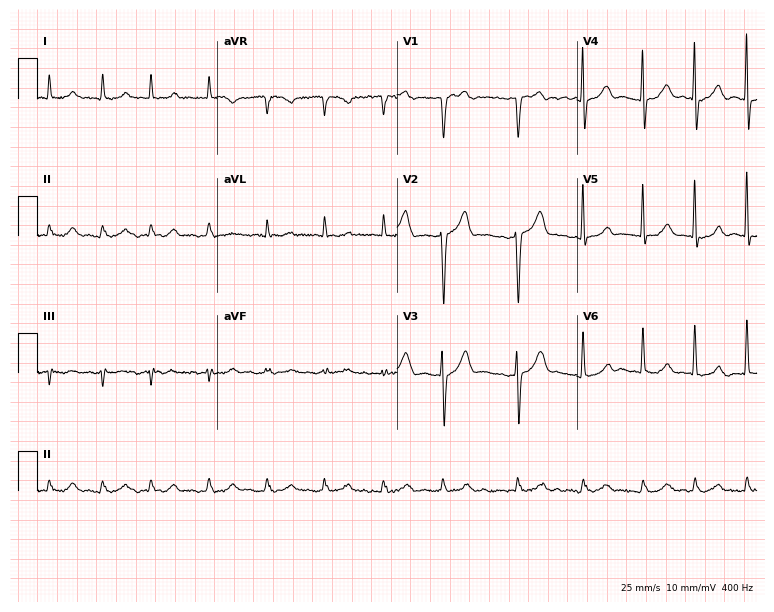
Standard 12-lead ECG recorded from a 78-year-old male (7.3-second recording at 400 Hz). The tracing shows atrial fibrillation (AF), sinus tachycardia (a sinus rate of 100 beats per minute or more).